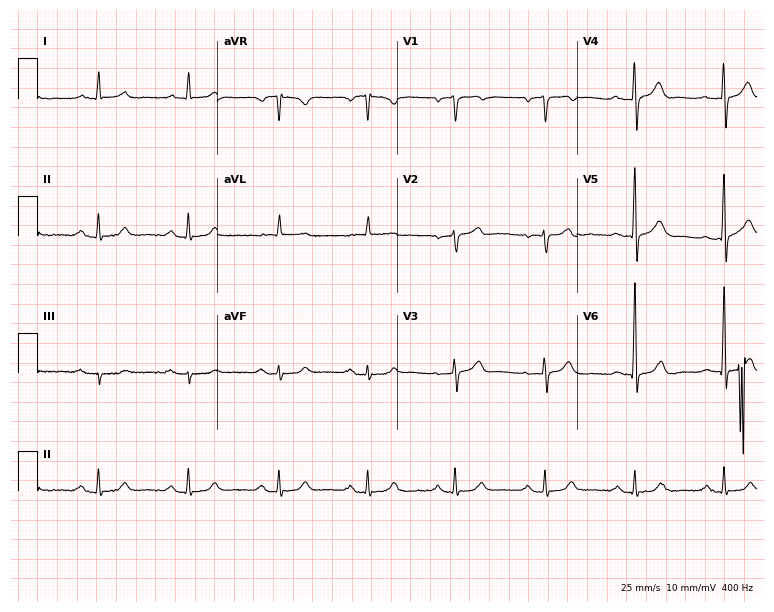
Resting 12-lead electrocardiogram. Patient: a 70-year-old man. None of these six findings is recorded: first-degree AV block, right bundle branch block, left bundle branch block, sinus bradycardia, atrial fibrillation, sinus tachycardia. Only these six findings were labelled.